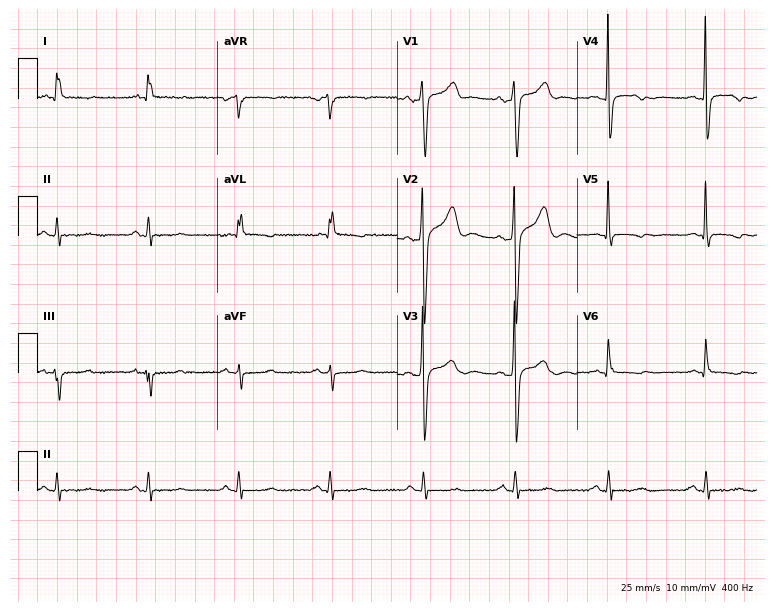
Resting 12-lead electrocardiogram (7.3-second recording at 400 Hz). Patient: a 50-year-old male. None of these six findings is recorded: first-degree AV block, right bundle branch block, left bundle branch block, sinus bradycardia, atrial fibrillation, sinus tachycardia. Only these six findings were labelled.